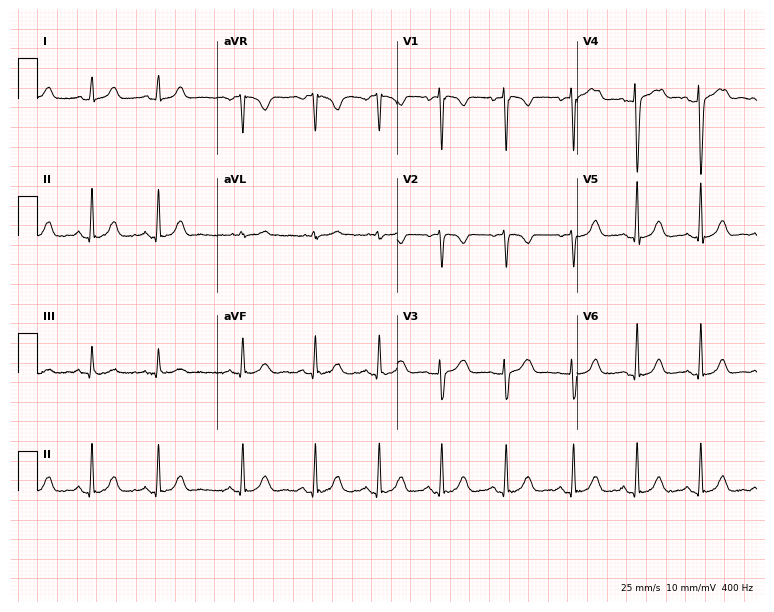
Resting 12-lead electrocardiogram. Patient: a 27-year-old woman. None of these six findings is recorded: first-degree AV block, right bundle branch block (RBBB), left bundle branch block (LBBB), sinus bradycardia, atrial fibrillation (AF), sinus tachycardia. Findings outside these six are not listed.